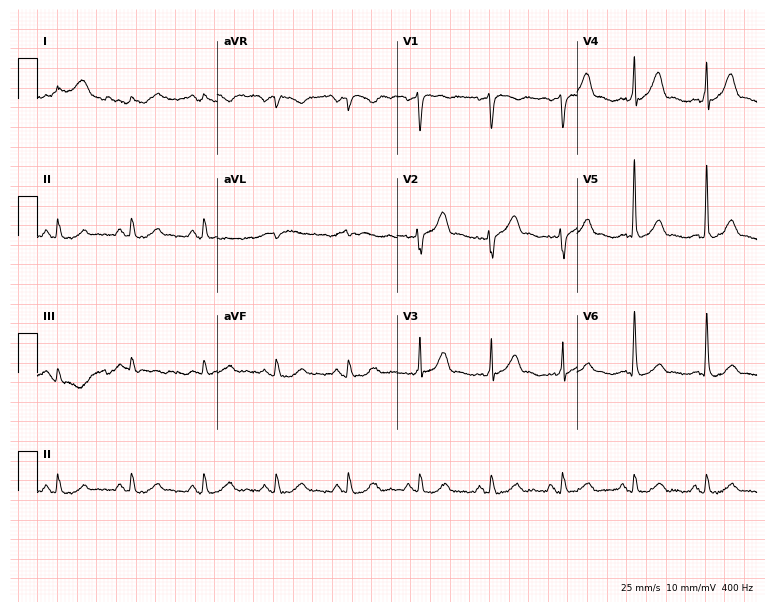
Standard 12-lead ECG recorded from a man, 62 years old. Read as a normal ECG.